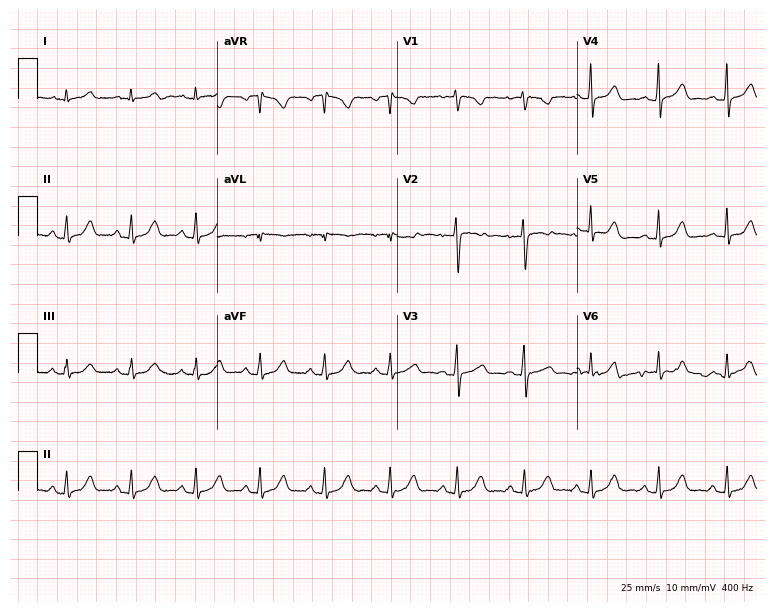
ECG (7.3-second recording at 400 Hz) — a 40-year-old female. Labelled as a normal ECG.